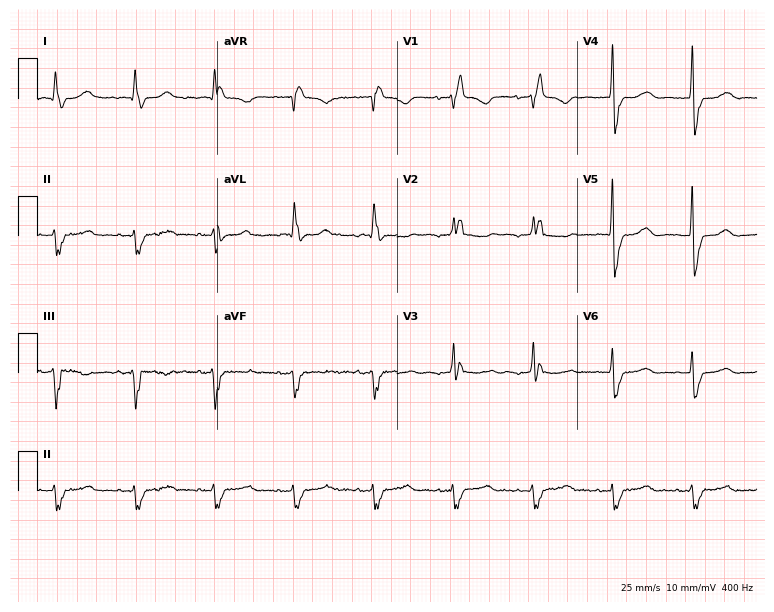
Standard 12-lead ECG recorded from a 70-year-old female (7.3-second recording at 400 Hz). The tracing shows right bundle branch block.